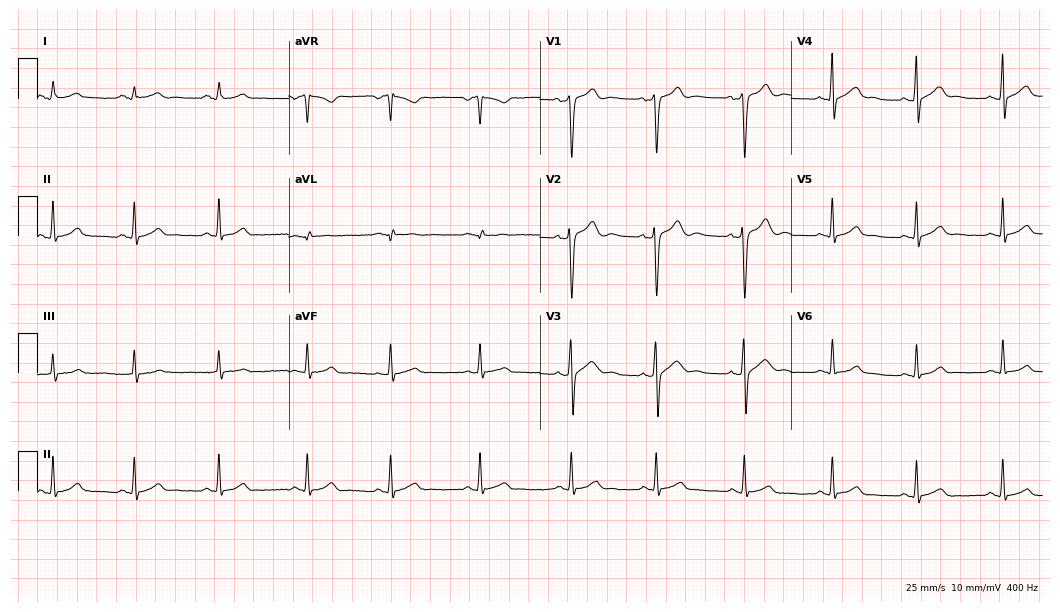
12-lead ECG from a 20-year-old male patient. Recorded interpretation: within normal limits.